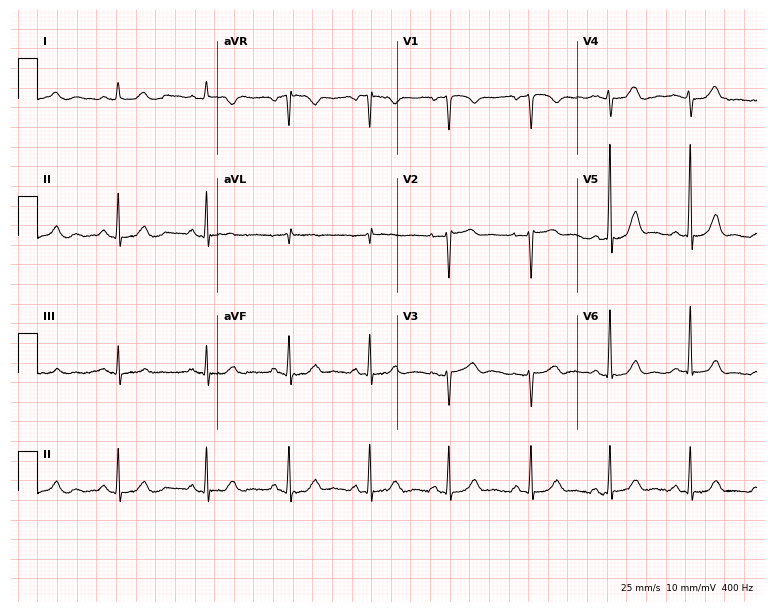
Standard 12-lead ECG recorded from a female patient, 48 years old. None of these six findings is recorded: first-degree AV block, right bundle branch block (RBBB), left bundle branch block (LBBB), sinus bradycardia, atrial fibrillation (AF), sinus tachycardia.